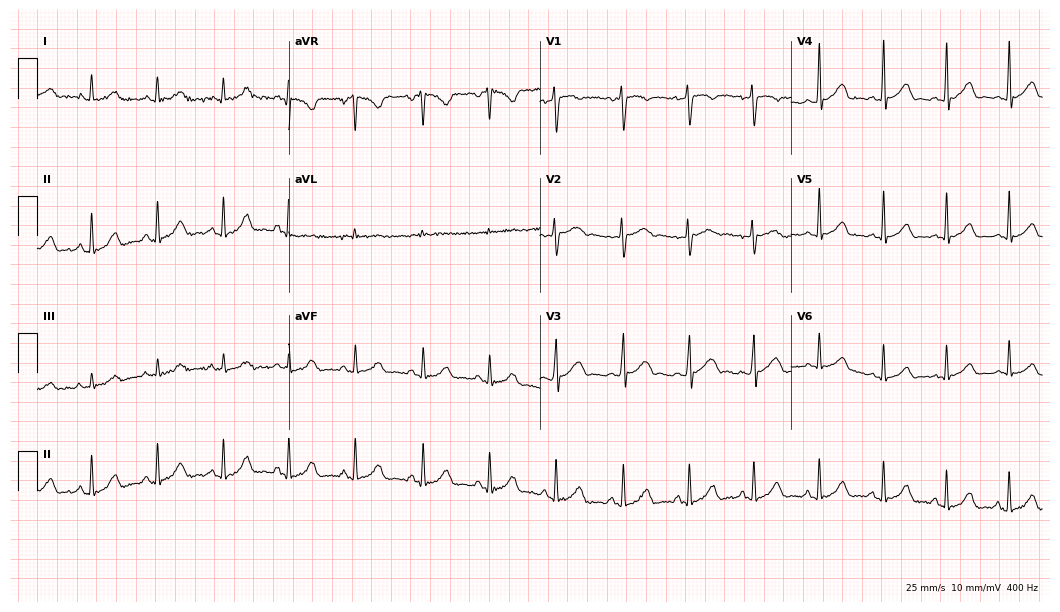
12-lead ECG (10.2-second recording at 400 Hz) from a 19-year-old woman. Labelled as a normal ECG.